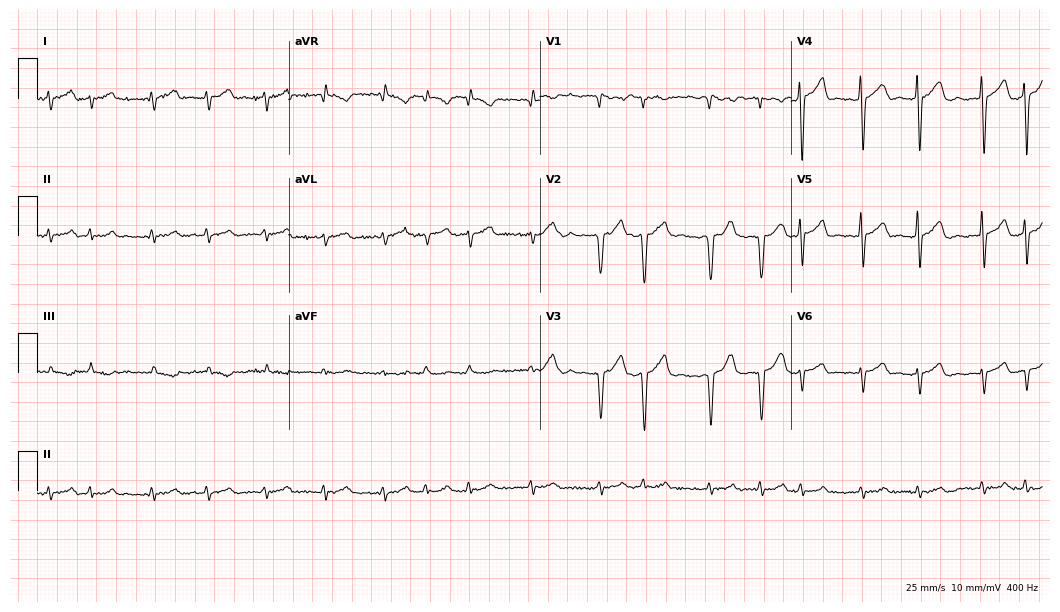
Resting 12-lead electrocardiogram (10.2-second recording at 400 Hz). Patient: a 64-year-old man. The tracing shows atrial fibrillation.